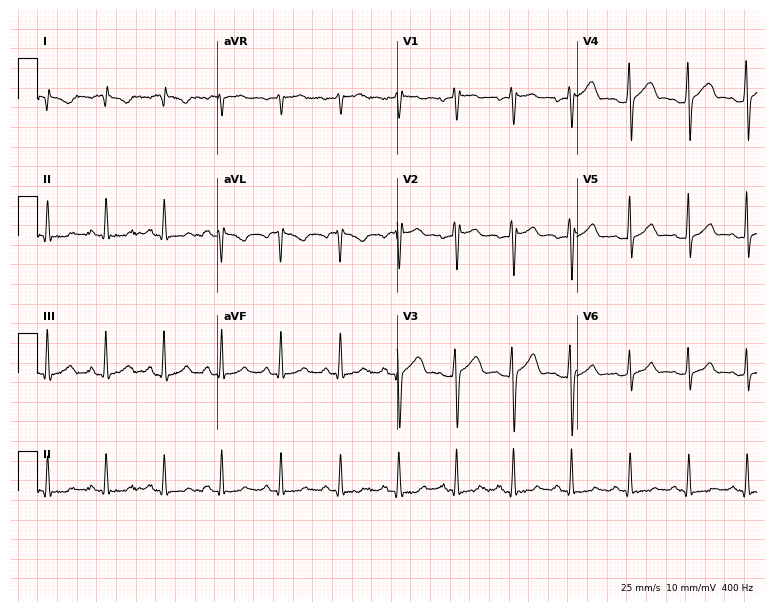
Standard 12-lead ECG recorded from a male patient, 24 years old (7.3-second recording at 400 Hz). None of these six findings is recorded: first-degree AV block, right bundle branch block (RBBB), left bundle branch block (LBBB), sinus bradycardia, atrial fibrillation (AF), sinus tachycardia. Other findings, if any, are not listed.